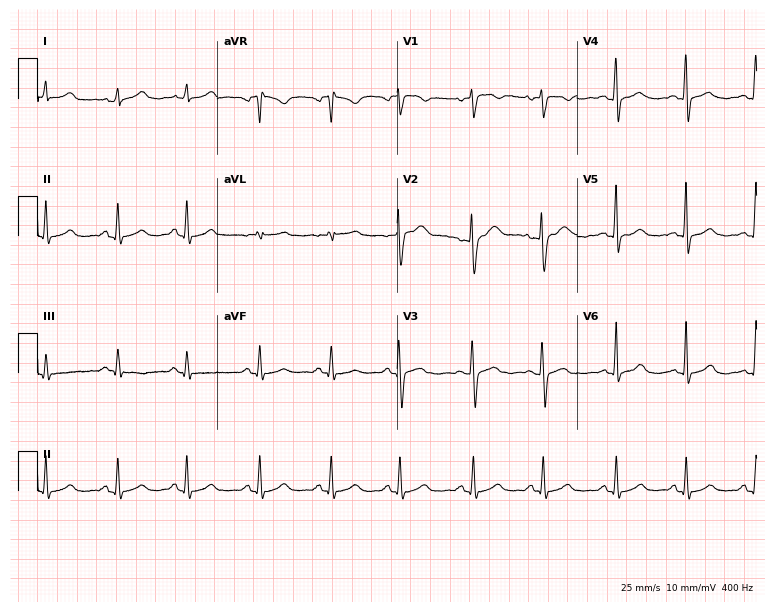
ECG (7.3-second recording at 400 Hz) — a 36-year-old female patient. Labelled as a normal ECG.